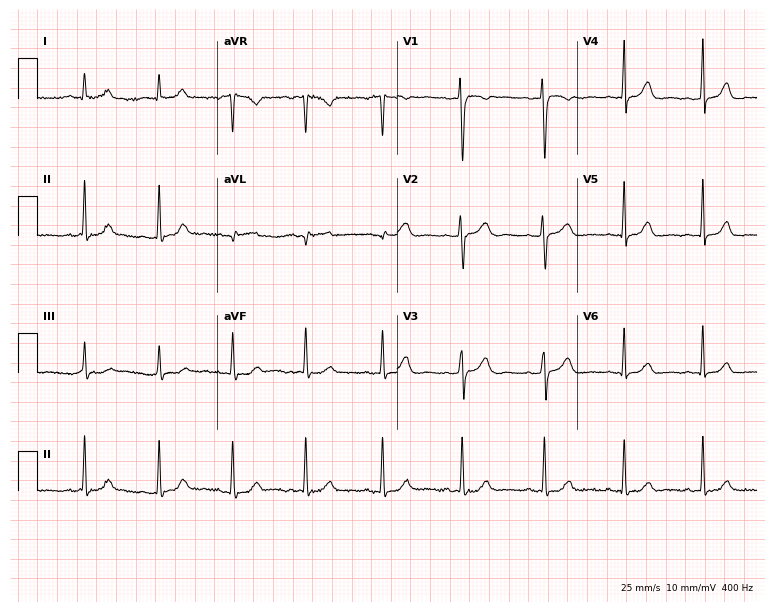
12-lead ECG from a 37-year-old female patient. Recorded interpretation: within normal limits.